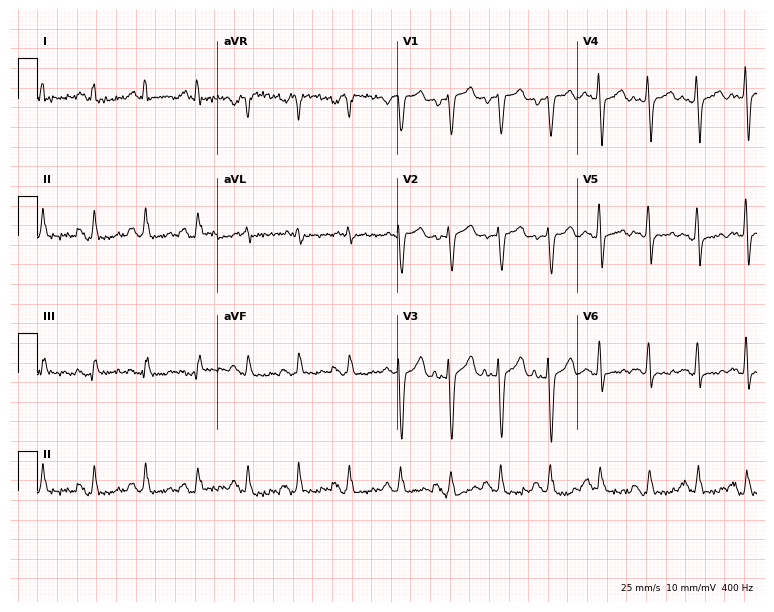
Electrocardiogram (7.3-second recording at 400 Hz), a 40-year-old man. Interpretation includes sinus tachycardia (a sinus rate of 100 beats per minute or more).